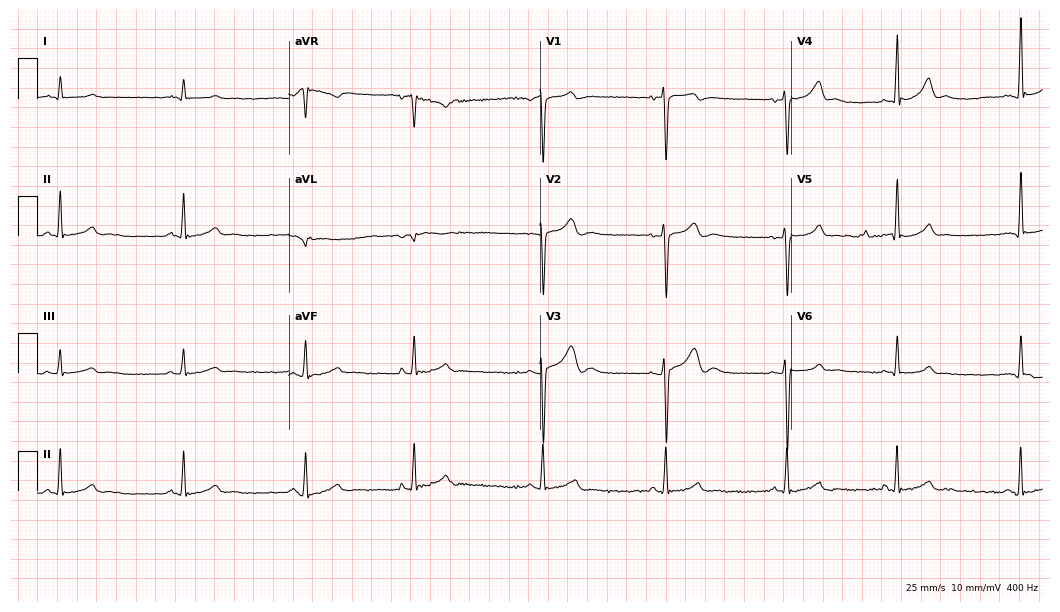
ECG (10.2-second recording at 400 Hz) — an 18-year-old male. Findings include sinus bradycardia (a sinus rate of 50 beats per minute or less).